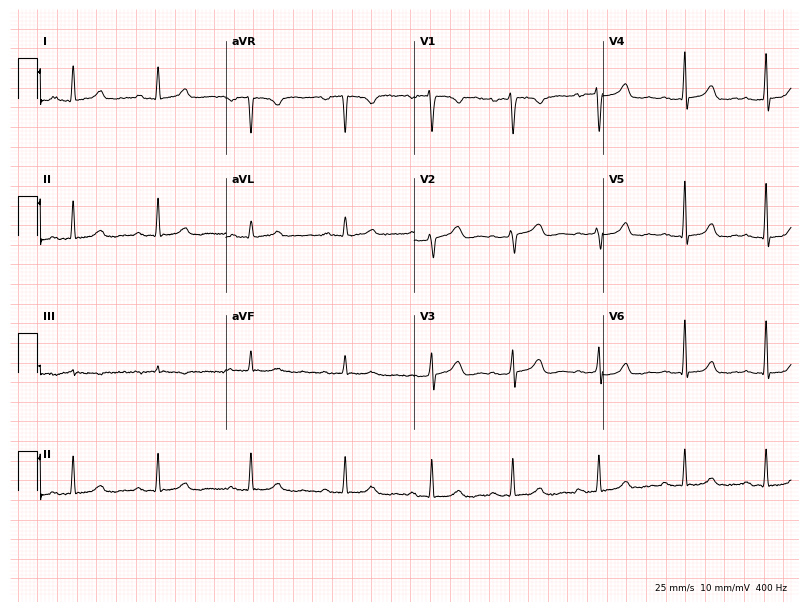
Electrocardiogram, a 40-year-old female patient. Overall reading on record: normal ECG.